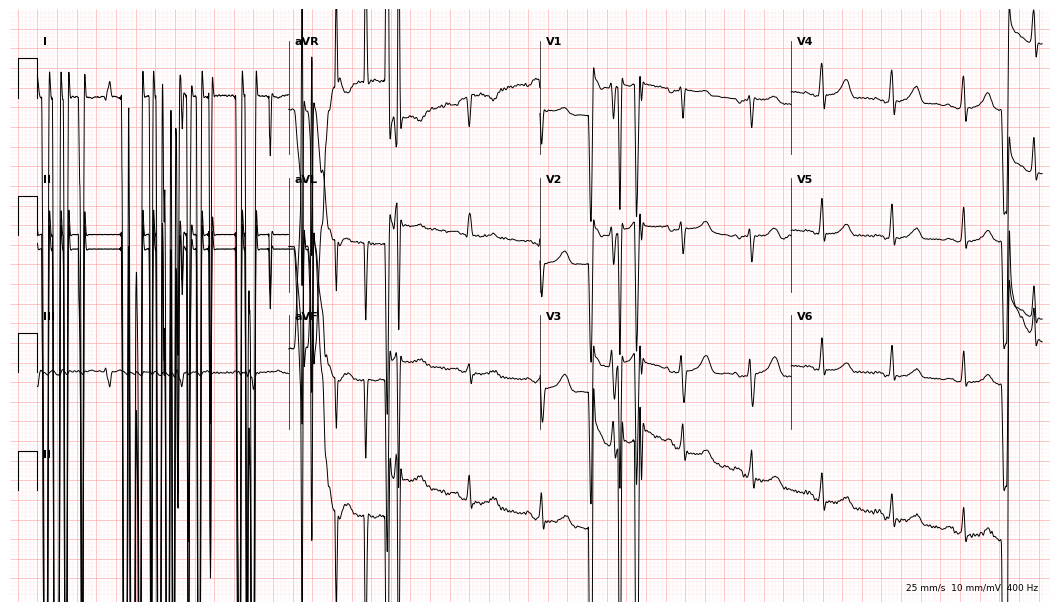
12-lead ECG from a female patient, 38 years old (10.2-second recording at 400 Hz). No first-degree AV block, right bundle branch block (RBBB), left bundle branch block (LBBB), sinus bradycardia, atrial fibrillation (AF) or sinus tachycardia recorded for this tracing.